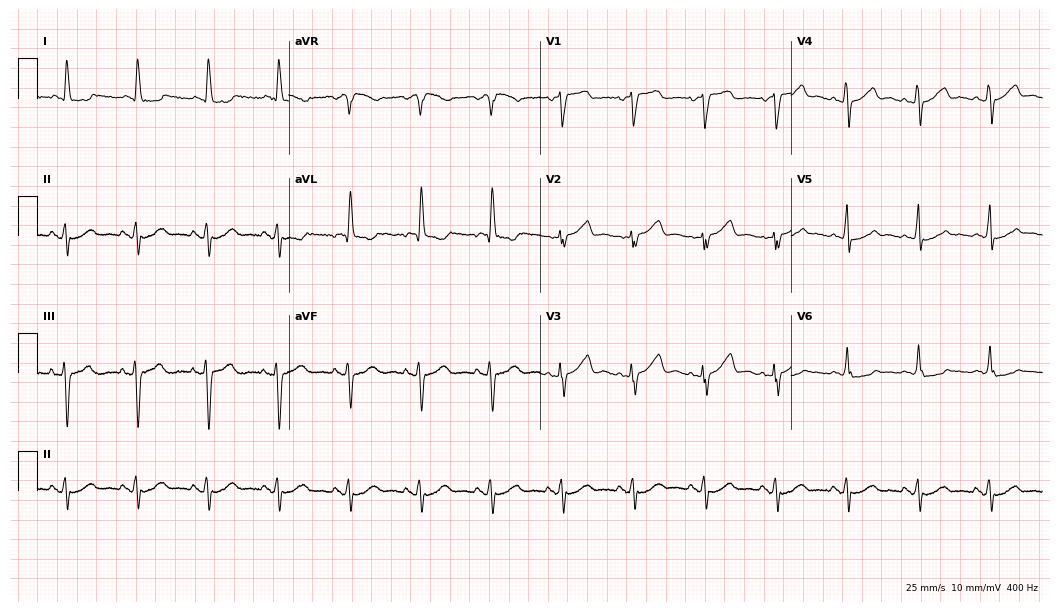
12-lead ECG (10.2-second recording at 400 Hz) from an 83-year-old female patient. Screened for six findings — first-degree AV block, right bundle branch block, left bundle branch block, sinus bradycardia, atrial fibrillation, sinus tachycardia — none is recorded.